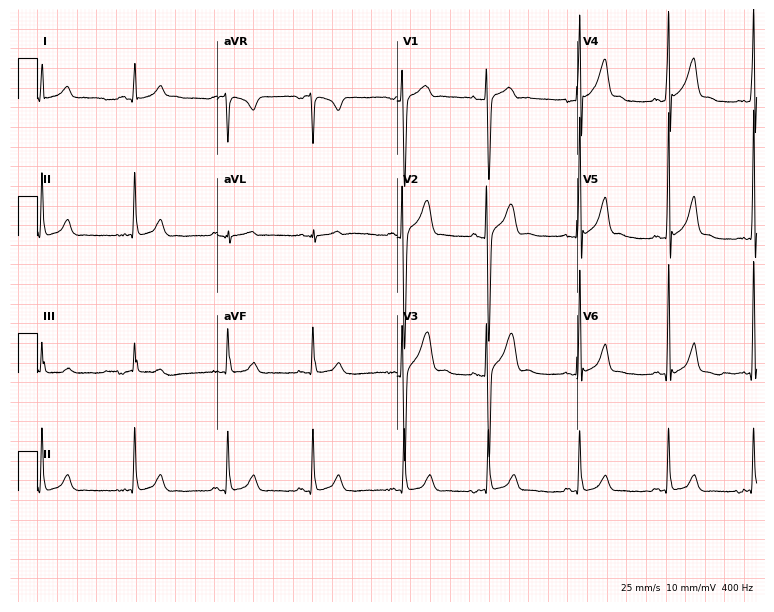
ECG — a male patient, 18 years old. Screened for six findings — first-degree AV block, right bundle branch block, left bundle branch block, sinus bradycardia, atrial fibrillation, sinus tachycardia — none is recorded.